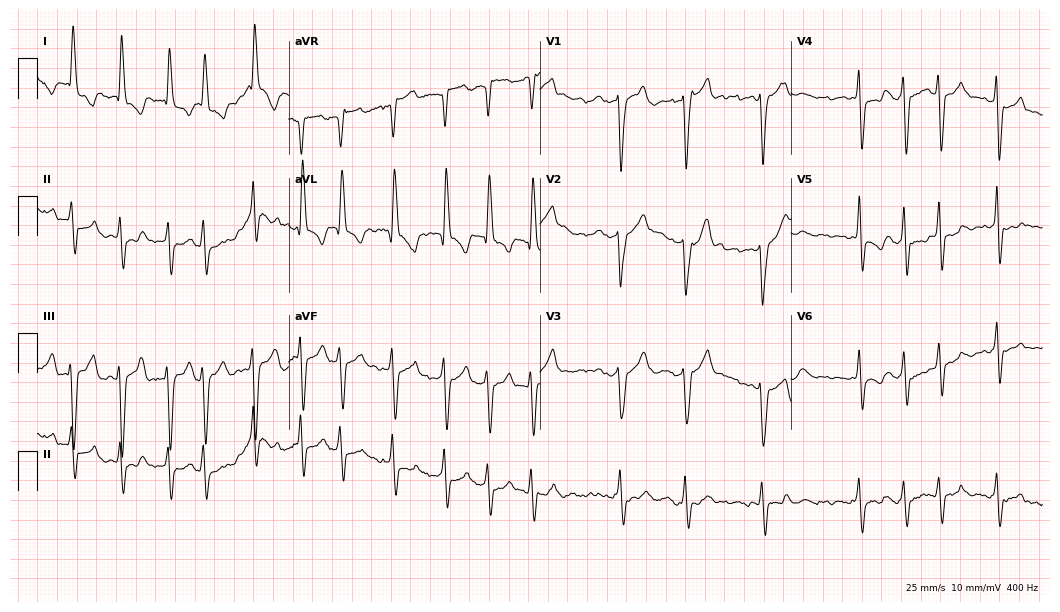
Standard 12-lead ECG recorded from a female, 77 years old. None of these six findings is recorded: first-degree AV block, right bundle branch block, left bundle branch block, sinus bradycardia, atrial fibrillation, sinus tachycardia.